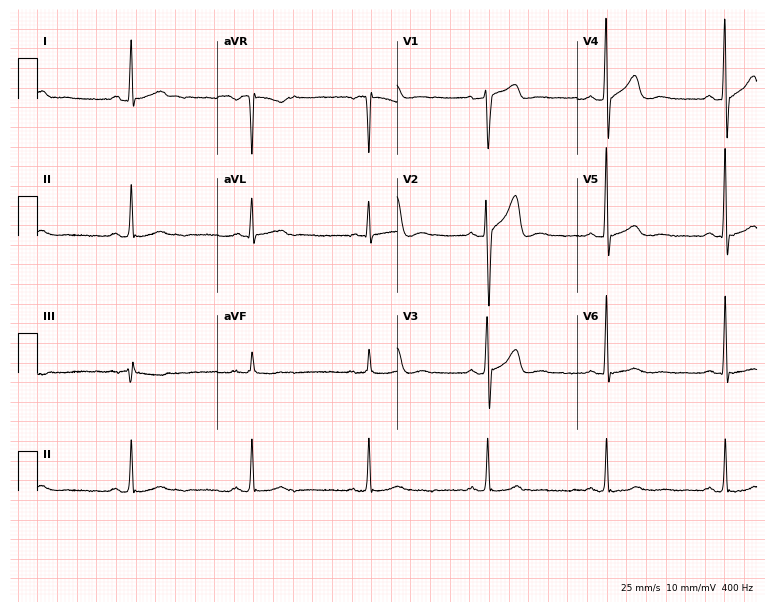
12-lead ECG from a 56-year-old male (7.3-second recording at 400 Hz). Shows sinus bradycardia (a sinus rate of 50 beats per minute or less).